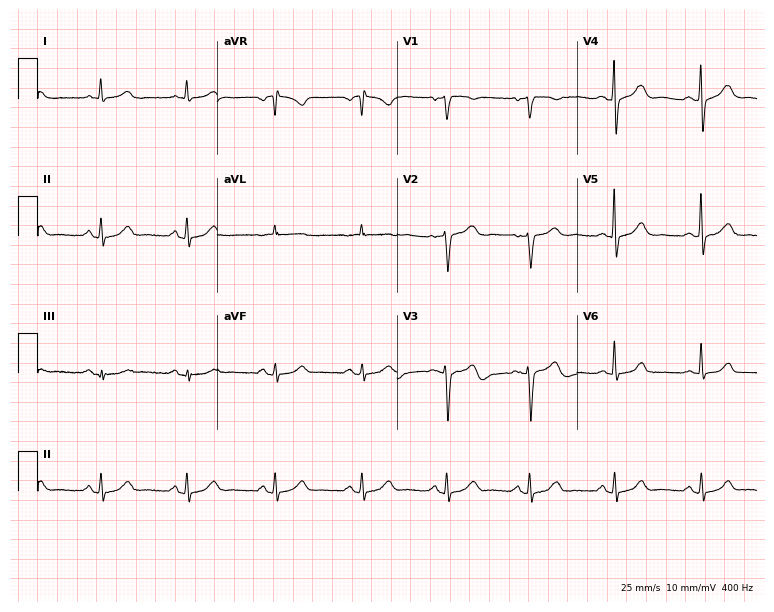
12-lead ECG from a female patient, 72 years old (7.3-second recording at 400 Hz). Recorded interpretation: within normal limits.